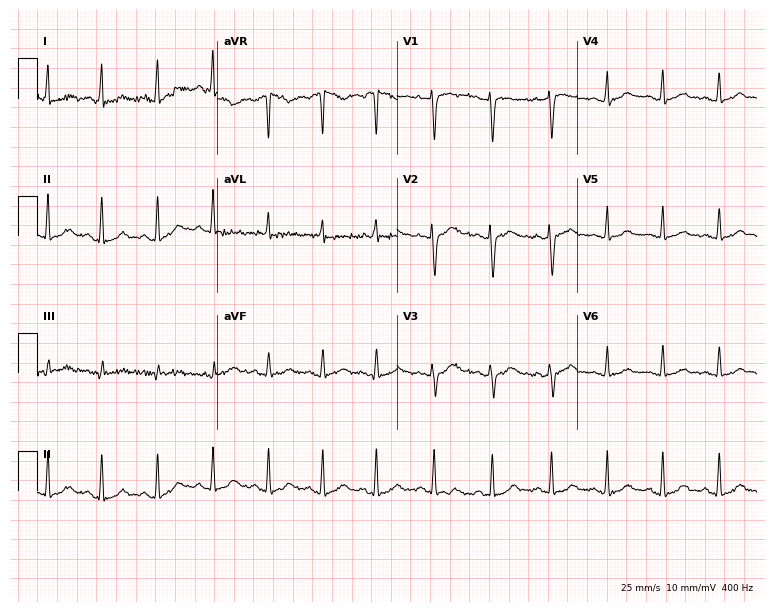
Standard 12-lead ECG recorded from a 28-year-old woman. The tracing shows sinus tachycardia (a sinus rate of 100 beats per minute or more).